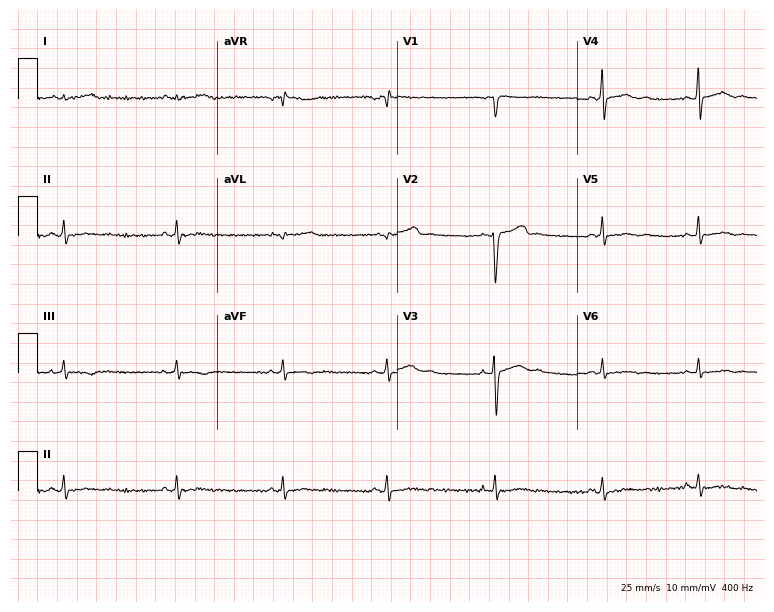
Electrocardiogram (7.3-second recording at 400 Hz), a 34-year-old man. Of the six screened findings (first-degree AV block, right bundle branch block (RBBB), left bundle branch block (LBBB), sinus bradycardia, atrial fibrillation (AF), sinus tachycardia), none is recorded. Only these six findings were labelled.